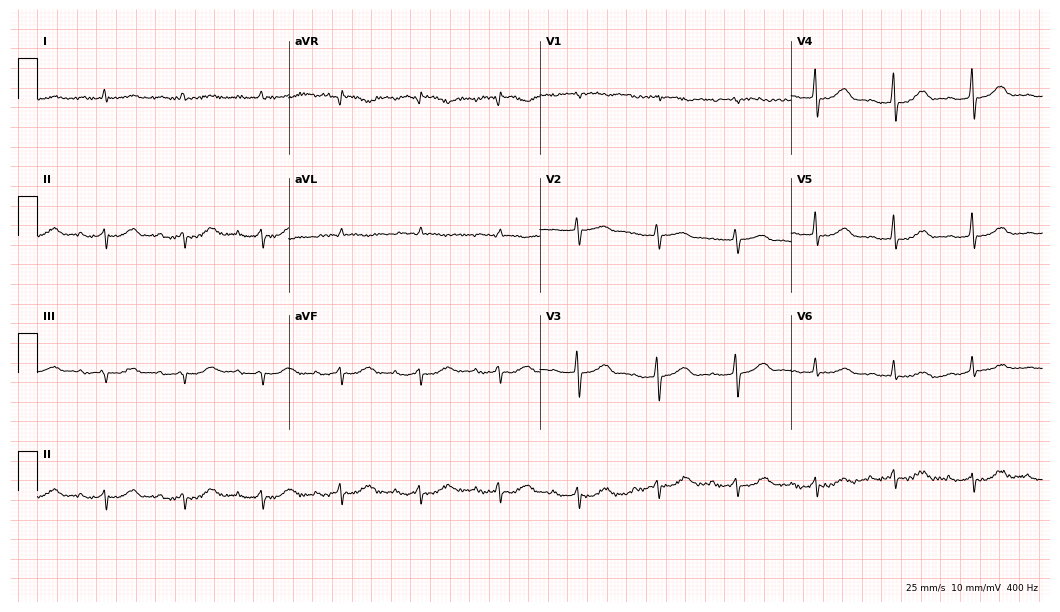
12-lead ECG (10.2-second recording at 400 Hz) from an 85-year-old woman. Findings include first-degree AV block.